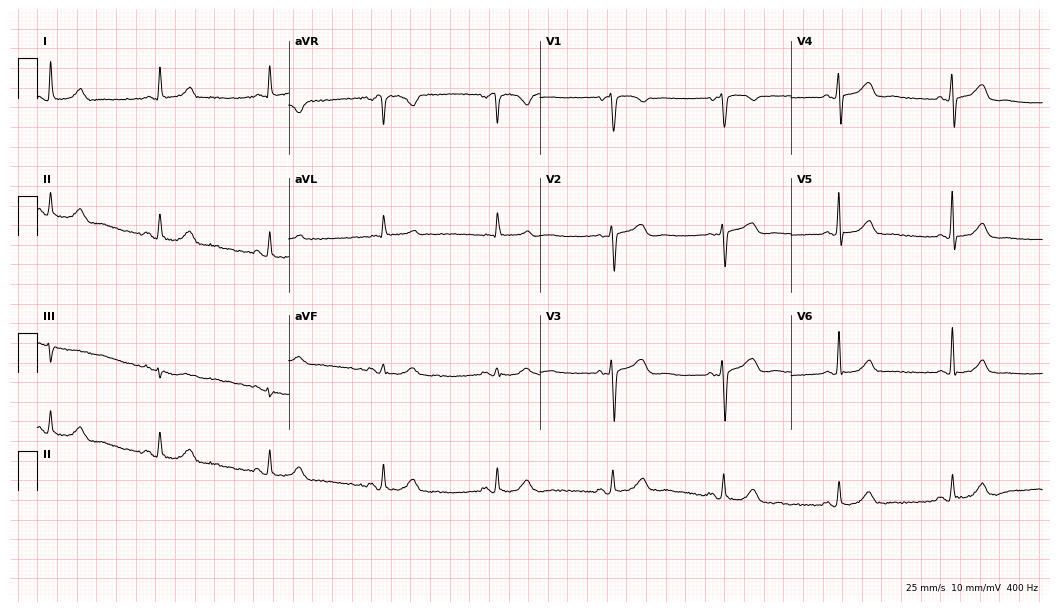
12-lead ECG from a female, 61 years old. Labelled as a normal ECG.